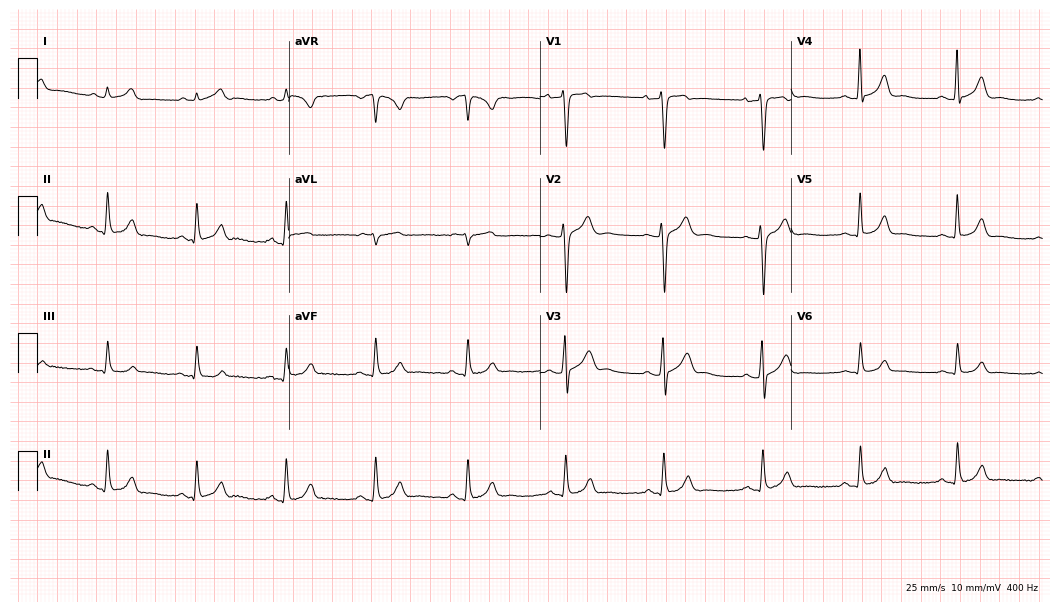
12-lead ECG from a man, 35 years old. Recorded interpretation: within normal limits.